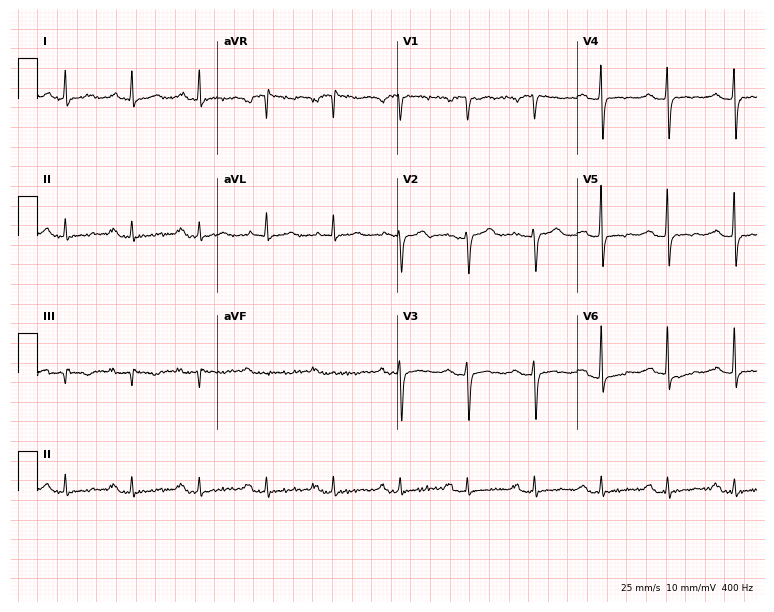
Electrocardiogram, a 67-year-old male. Interpretation includes first-degree AV block.